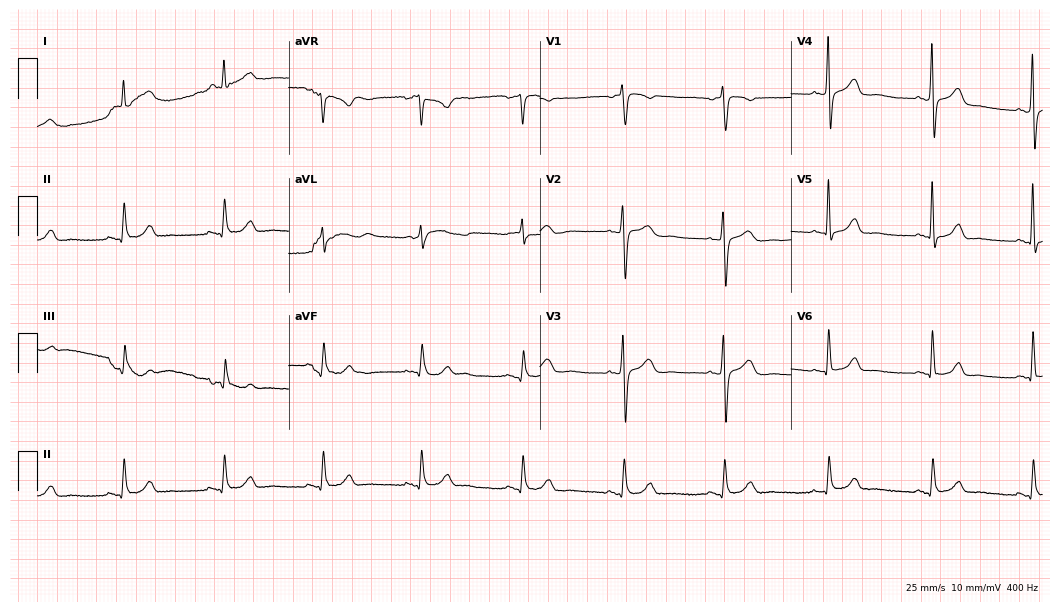
Resting 12-lead electrocardiogram (10.2-second recording at 400 Hz). Patient: a 60-year-old female. Read as a normal ECG.